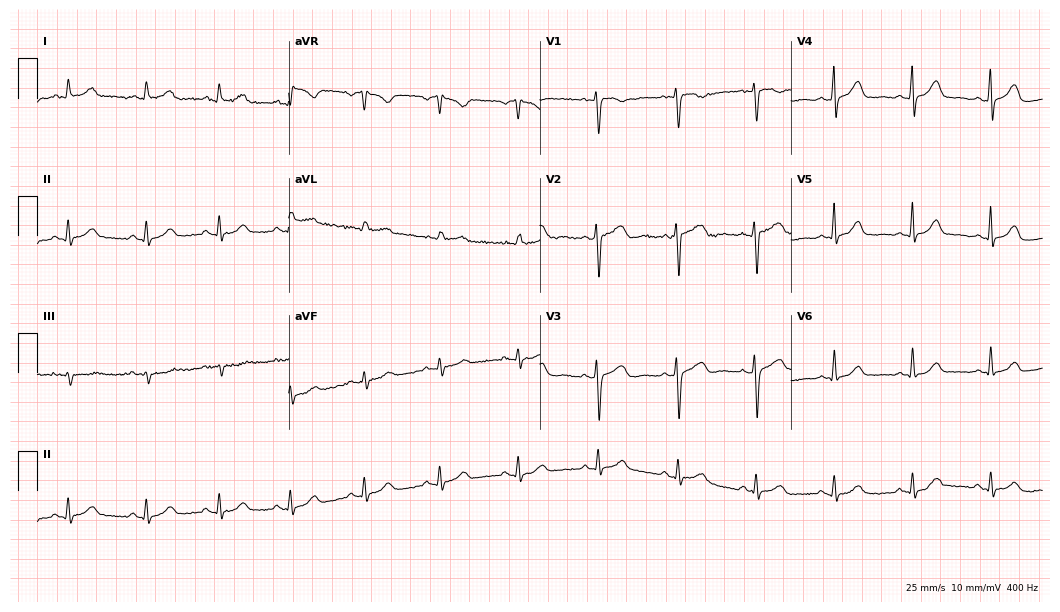
Standard 12-lead ECG recorded from a female, 43 years old. None of these six findings is recorded: first-degree AV block, right bundle branch block, left bundle branch block, sinus bradycardia, atrial fibrillation, sinus tachycardia. Only these six findings were labelled.